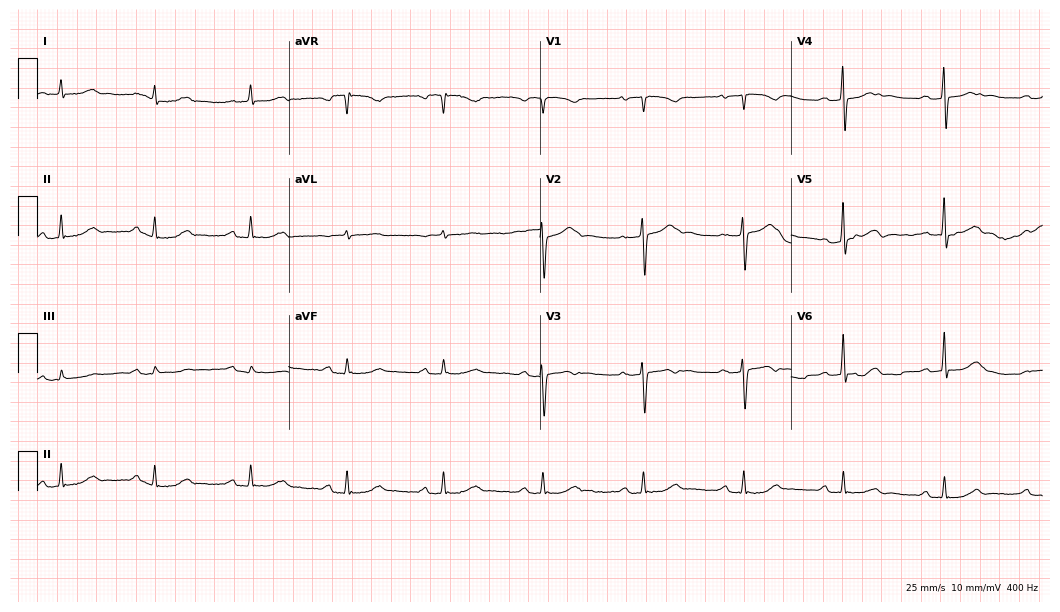
ECG (10.2-second recording at 400 Hz) — a 78-year-old female. Labelled as a normal ECG.